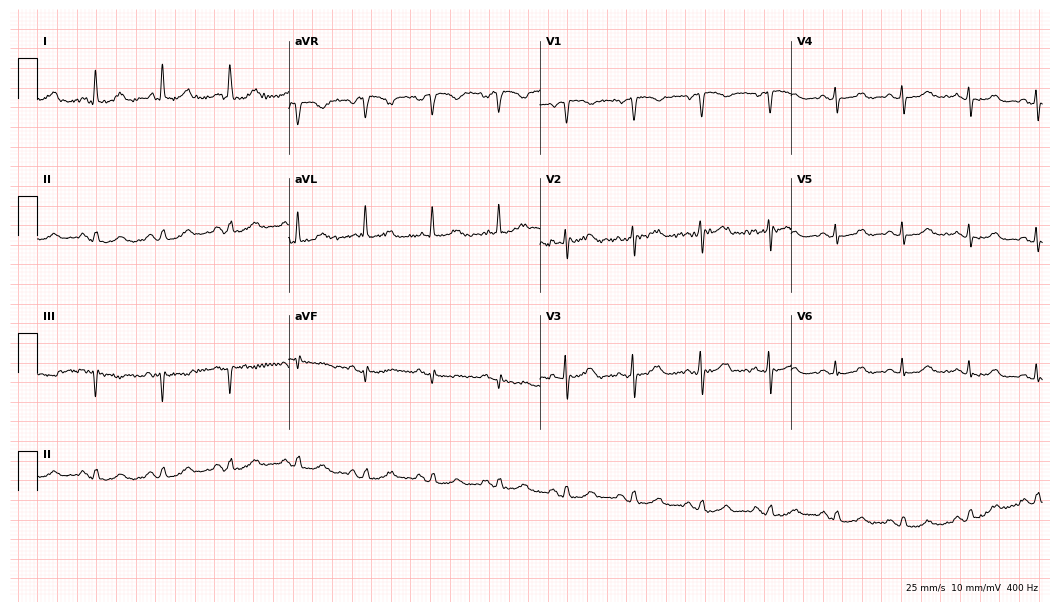
Electrocardiogram (10.2-second recording at 400 Hz), a man, 79 years old. Of the six screened findings (first-degree AV block, right bundle branch block (RBBB), left bundle branch block (LBBB), sinus bradycardia, atrial fibrillation (AF), sinus tachycardia), none is recorded.